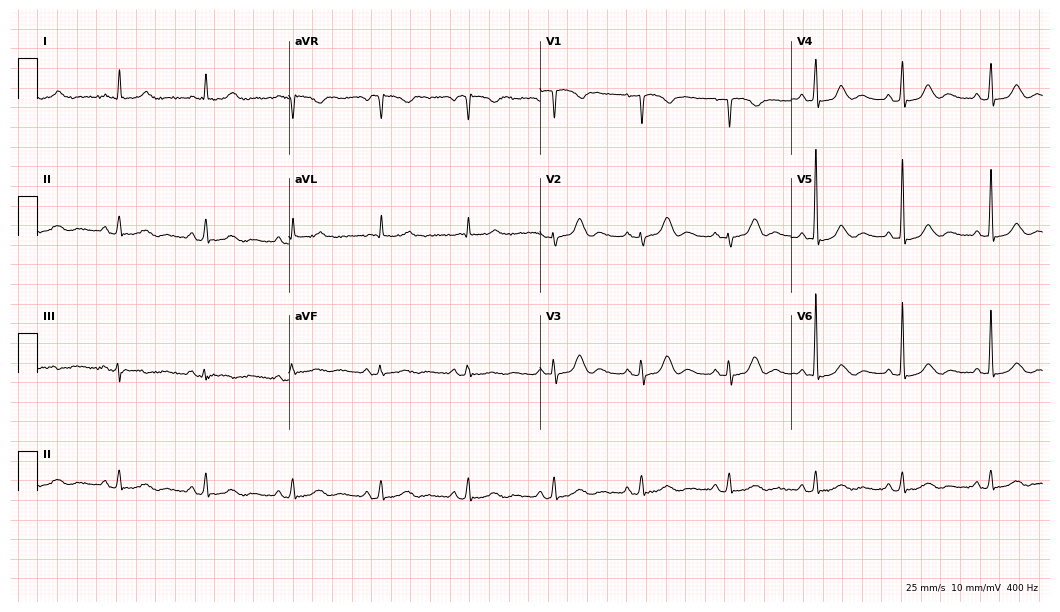
12-lead ECG (10.2-second recording at 400 Hz) from a 70-year-old female. Labelled as a normal ECG.